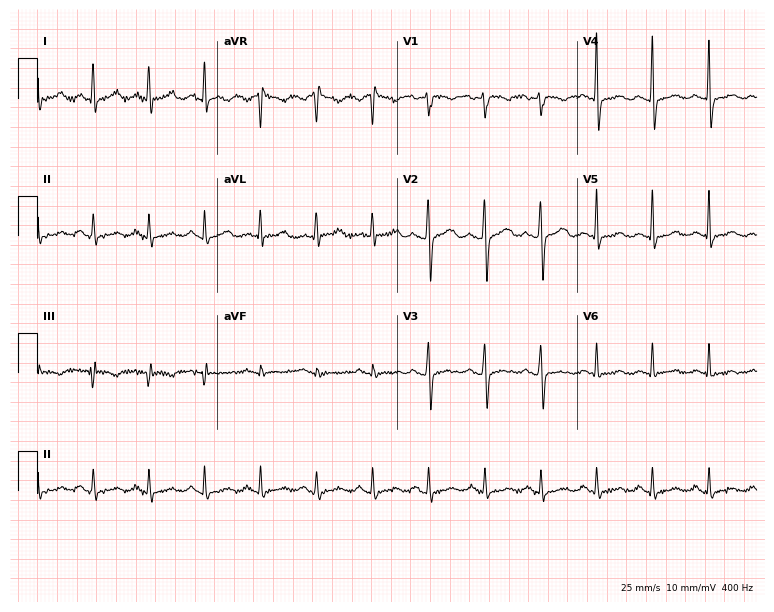
Resting 12-lead electrocardiogram (7.3-second recording at 400 Hz). Patient: a female, 42 years old. The tracing shows sinus tachycardia (a sinus rate of 100 beats per minute or more).